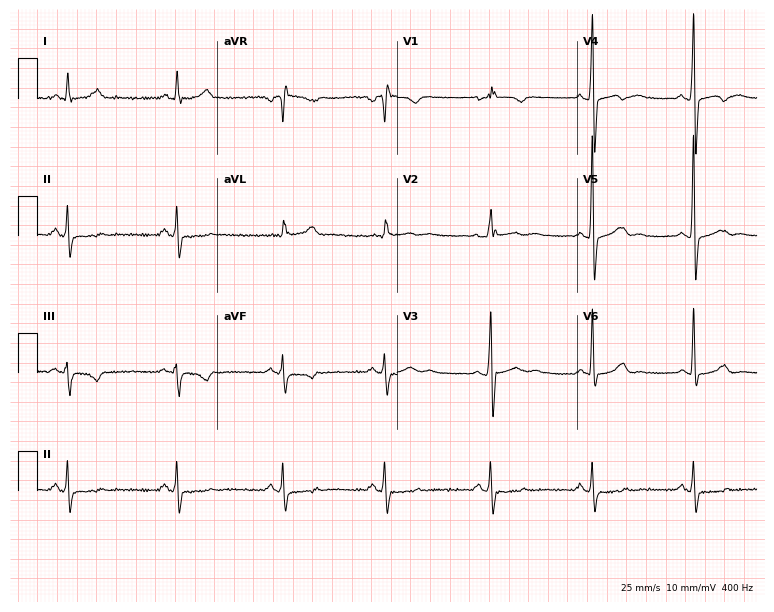
12-lead ECG from a man, 44 years old. No first-degree AV block, right bundle branch block (RBBB), left bundle branch block (LBBB), sinus bradycardia, atrial fibrillation (AF) or sinus tachycardia recorded for this tracing. Only these six findings were labelled.